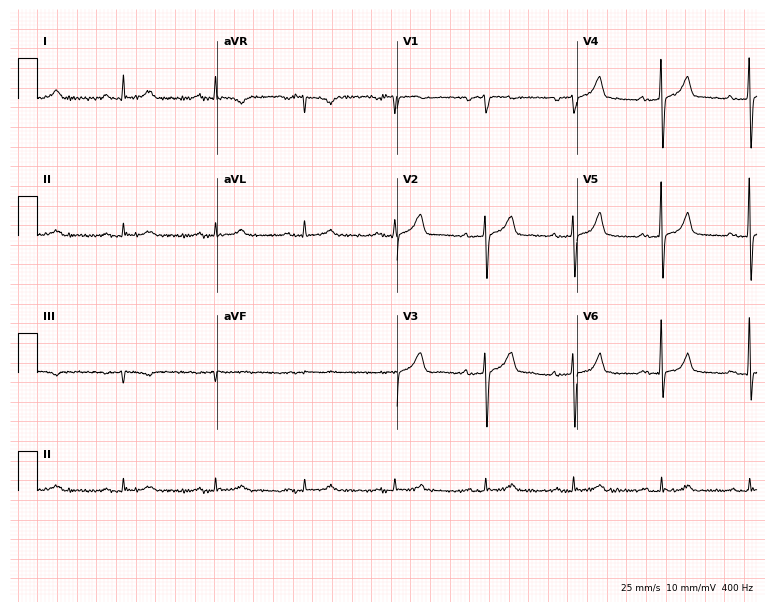
12-lead ECG (7.3-second recording at 400 Hz) from a 61-year-old male patient. Labelled as a normal ECG.